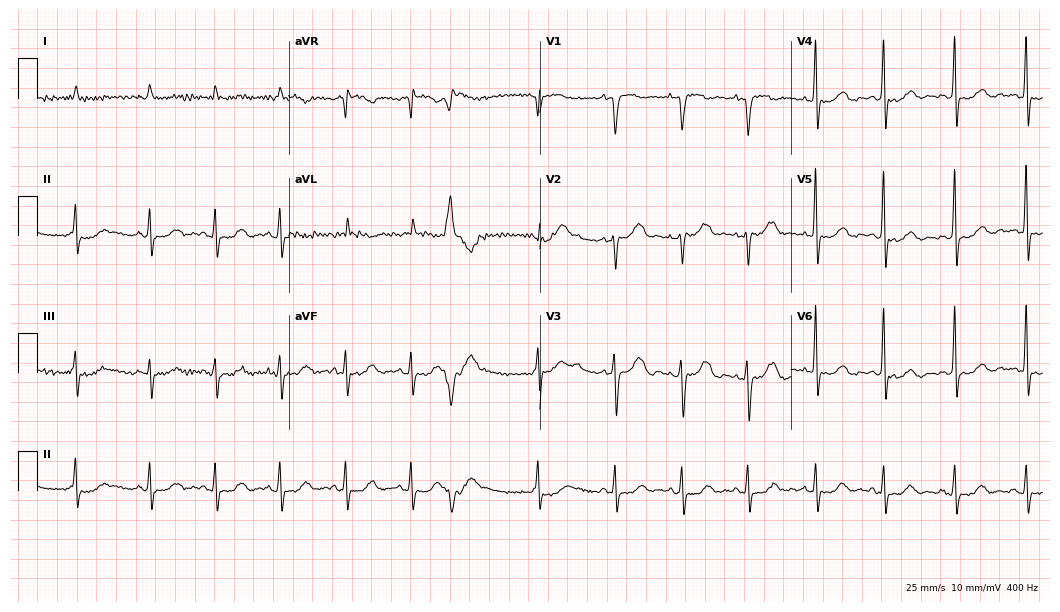
Electrocardiogram (10.2-second recording at 400 Hz), an 84-year-old female. Of the six screened findings (first-degree AV block, right bundle branch block, left bundle branch block, sinus bradycardia, atrial fibrillation, sinus tachycardia), none is recorded. Other findings, if any, are not listed.